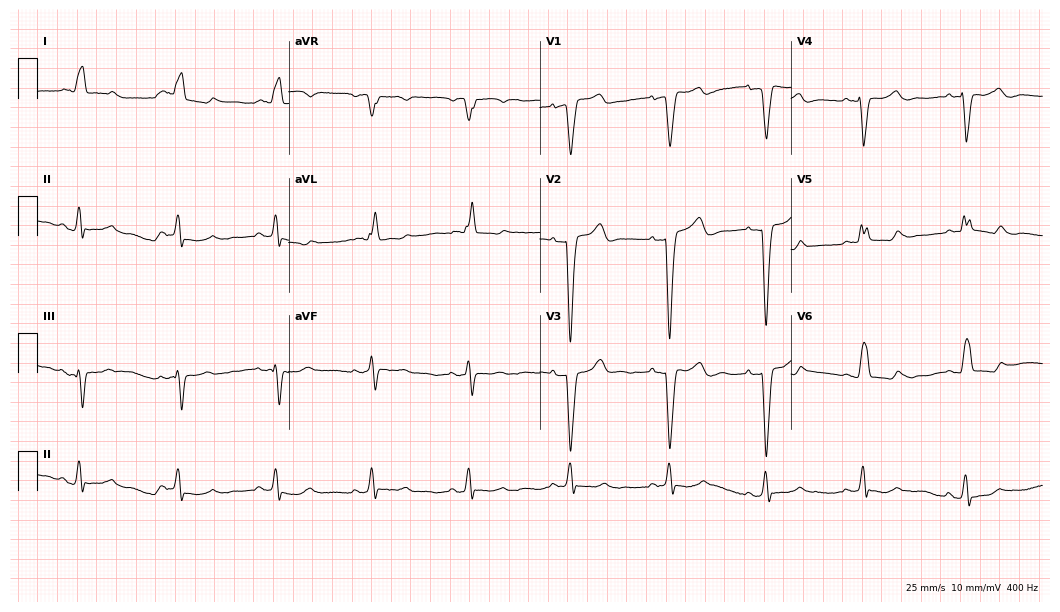
12-lead ECG from a 73-year-old female patient. Shows left bundle branch block.